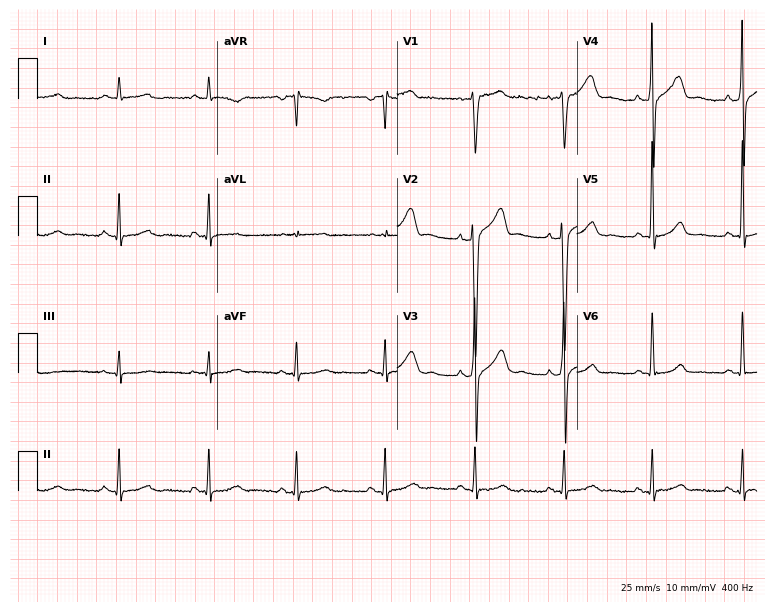
ECG — a 55-year-old male patient. Labelled as a normal ECG.